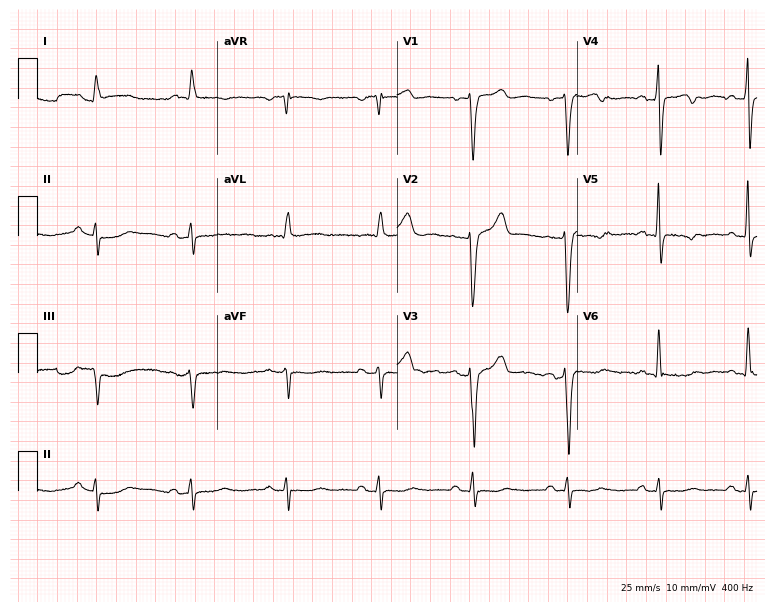
Resting 12-lead electrocardiogram (7.3-second recording at 400 Hz). Patient: a male, 60 years old. None of these six findings is recorded: first-degree AV block, right bundle branch block, left bundle branch block, sinus bradycardia, atrial fibrillation, sinus tachycardia.